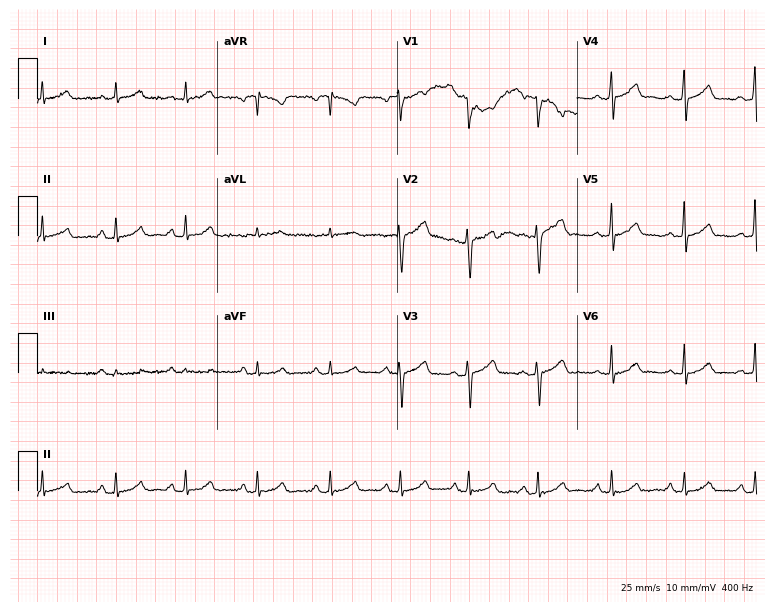
12-lead ECG from a female patient, 41 years old. Labelled as a normal ECG.